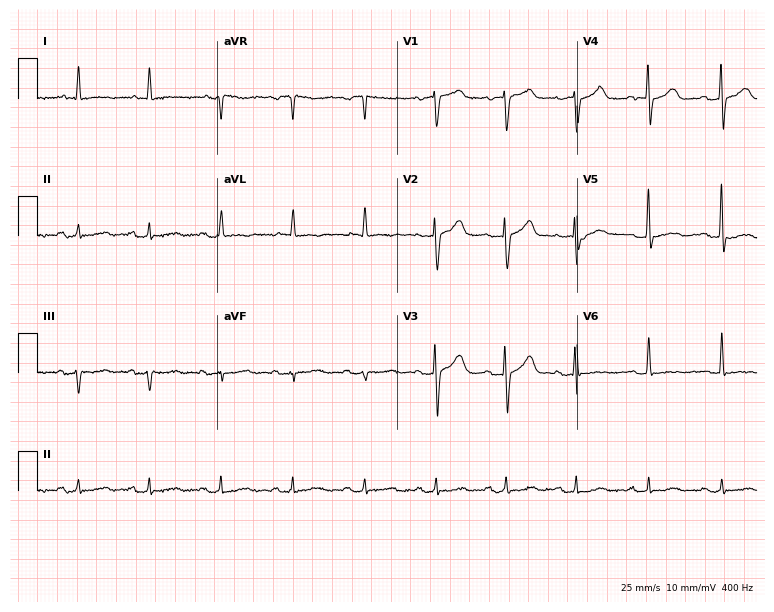
12-lead ECG from a male patient, 86 years old (7.3-second recording at 400 Hz). No first-degree AV block, right bundle branch block (RBBB), left bundle branch block (LBBB), sinus bradycardia, atrial fibrillation (AF) or sinus tachycardia recorded for this tracing.